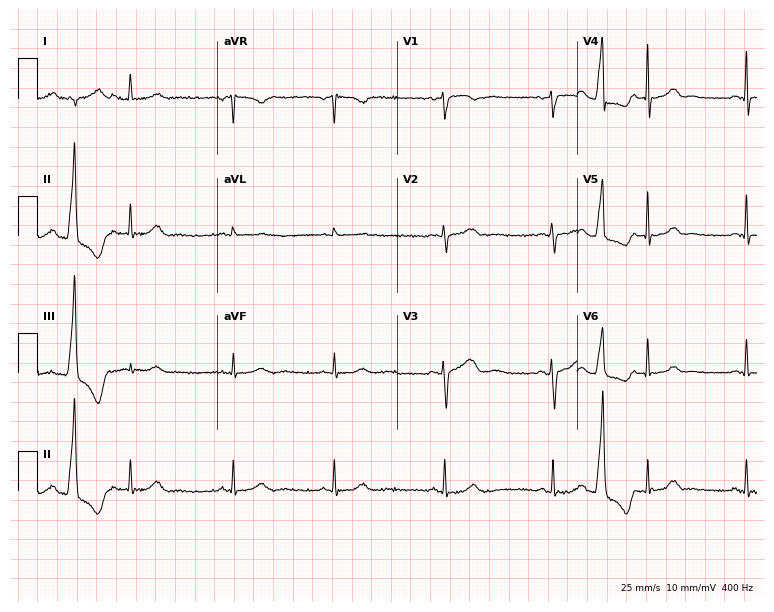
Resting 12-lead electrocardiogram. Patient: a male, 26 years old. None of these six findings is recorded: first-degree AV block, right bundle branch block, left bundle branch block, sinus bradycardia, atrial fibrillation, sinus tachycardia. Other findings, if any, are not listed.